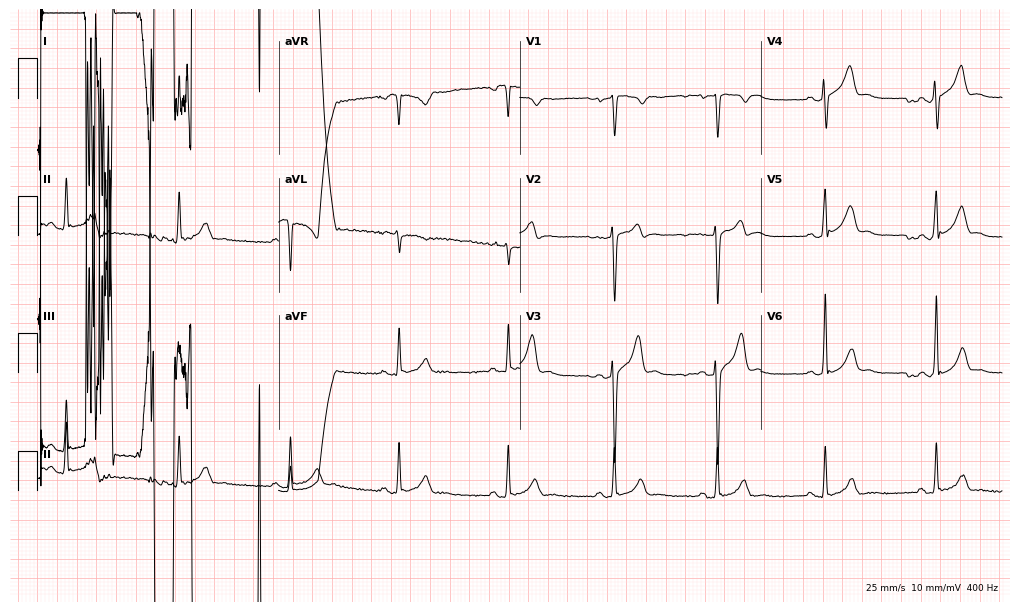
ECG (9.8-second recording at 400 Hz) — a 23-year-old male. Screened for six findings — first-degree AV block, right bundle branch block, left bundle branch block, sinus bradycardia, atrial fibrillation, sinus tachycardia — none is recorded.